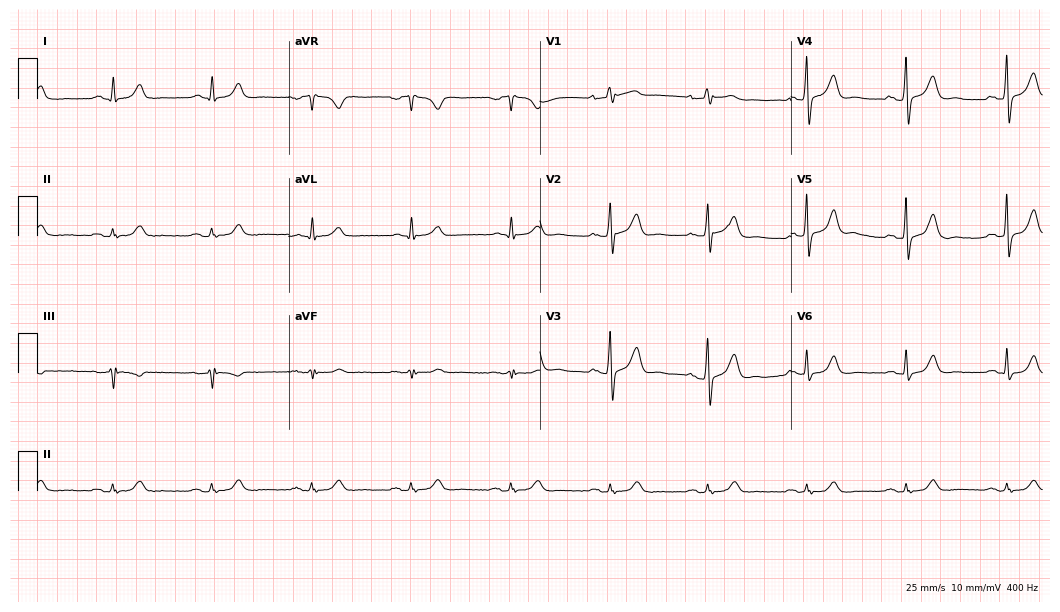
12-lead ECG (10.2-second recording at 400 Hz) from a 71-year-old man. Screened for six findings — first-degree AV block, right bundle branch block (RBBB), left bundle branch block (LBBB), sinus bradycardia, atrial fibrillation (AF), sinus tachycardia — none is recorded. Other findings, if any, are not listed.